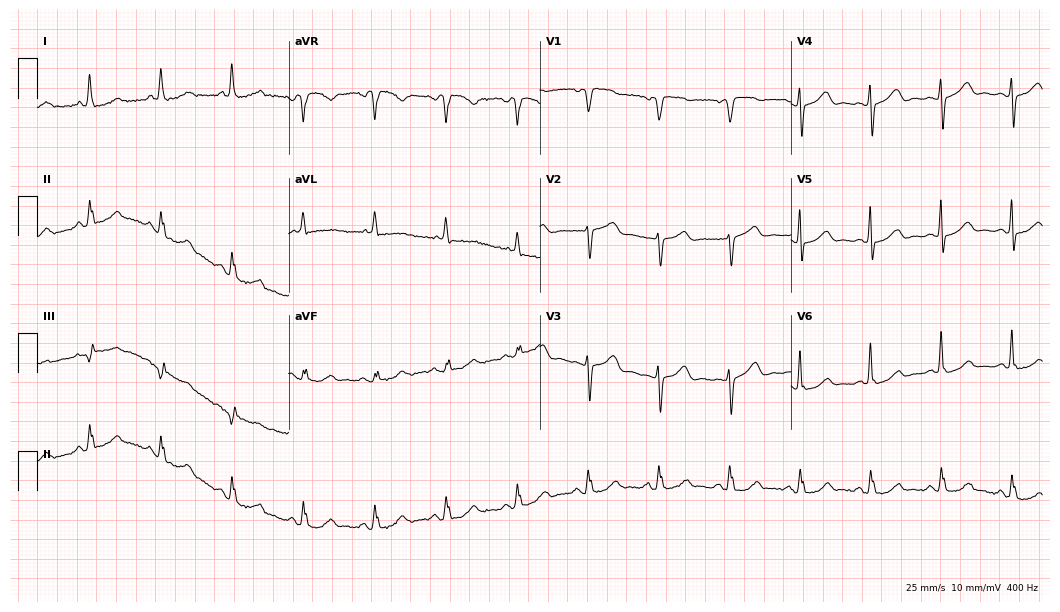
12-lead ECG (10.2-second recording at 400 Hz) from a 72-year-old woman. Screened for six findings — first-degree AV block, right bundle branch block, left bundle branch block, sinus bradycardia, atrial fibrillation, sinus tachycardia — none is recorded.